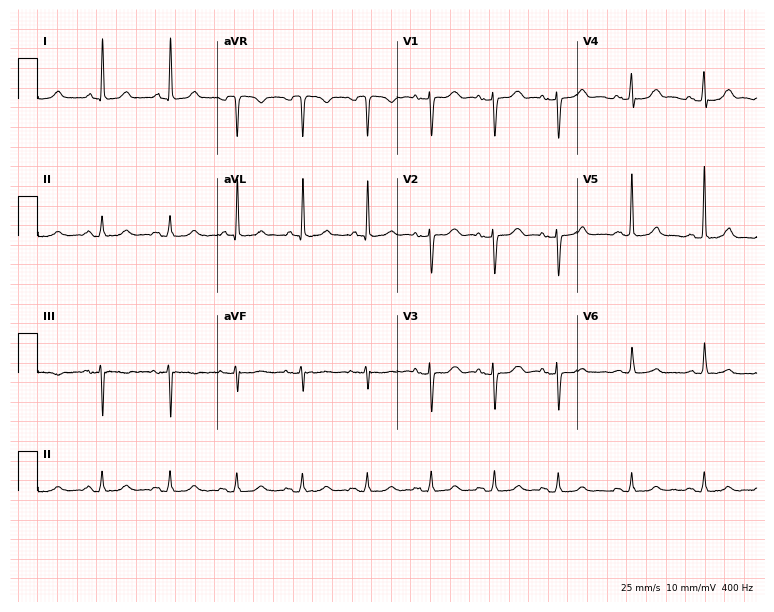
12-lead ECG from a 66-year-old woman. Labelled as a normal ECG.